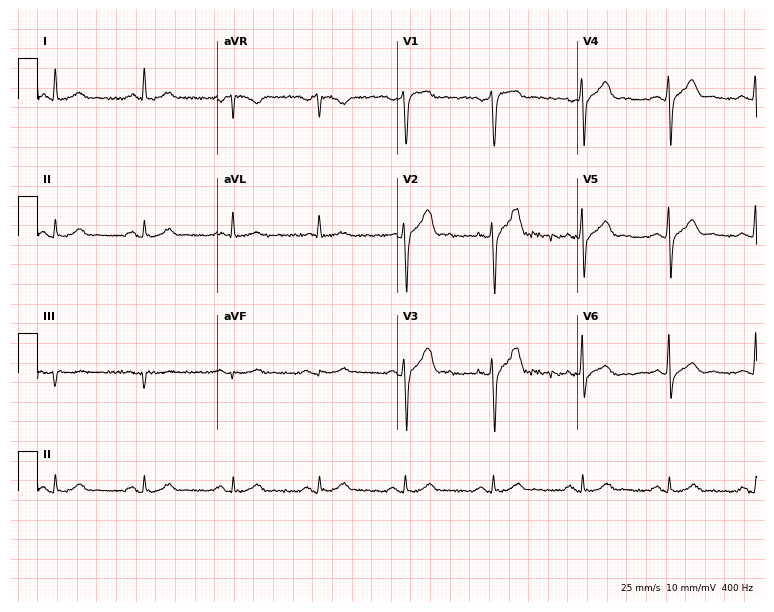
ECG (7.3-second recording at 400 Hz) — a male, 51 years old. Screened for six findings — first-degree AV block, right bundle branch block, left bundle branch block, sinus bradycardia, atrial fibrillation, sinus tachycardia — none is recorded. Other findings, if any, are not listed.